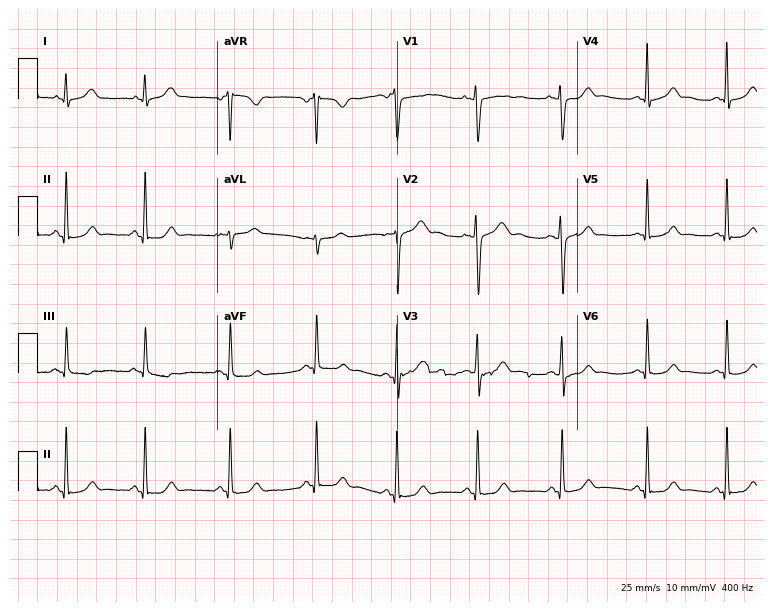
12-lead ECG (7.3-second recording at 400 Hz) from a 23-year-old female patient. Labelled as a normal ECG.